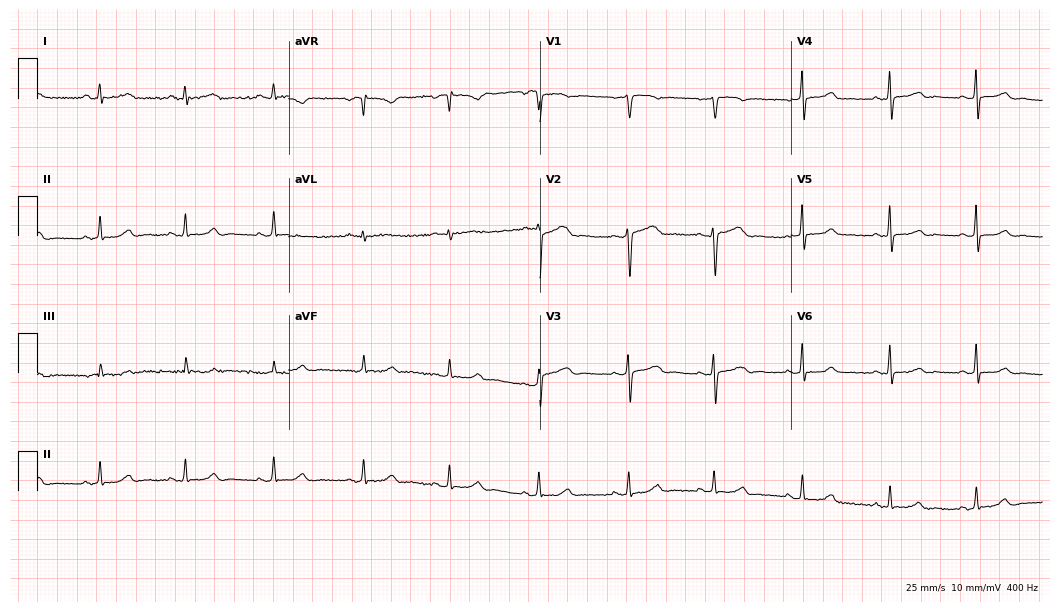
Standard 12-lead ECG recorded from a 58-year-old female patient (10.2-second recording at 400 Hz). Read as a normal ECG.